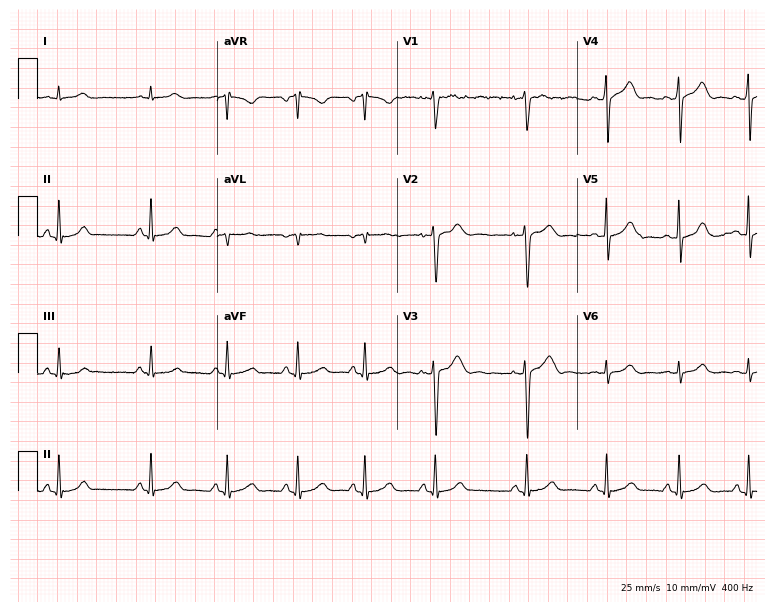
Standard 12-lead ECG recorded from a 22-year-old female. None of these six findings is recorded: first-degree AV block, right bundle branch block, left bundle branch block, sinus bradycardia, atrial fibrillation, sinus tachycardia. Other findings, if any, are not listed.